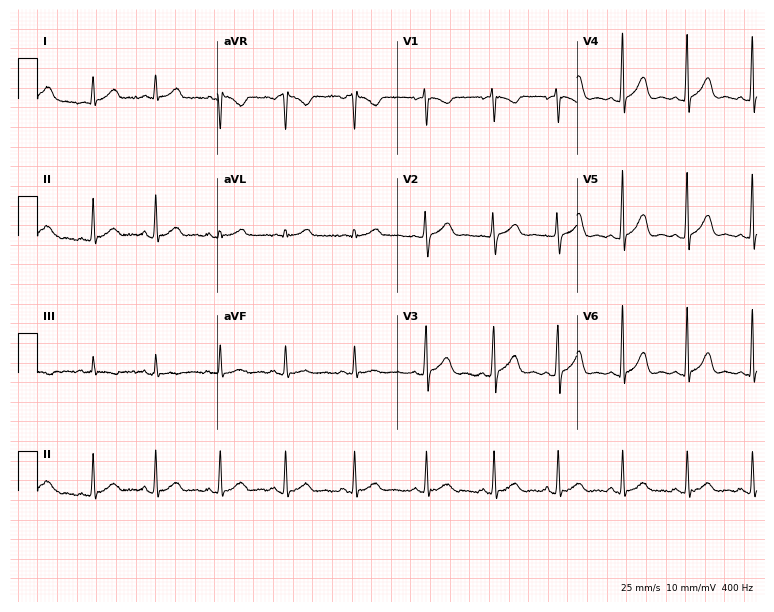
Resting 12-lead electrocardiogram. Patient: a woman, 35 years old. Read as a normal ECG.